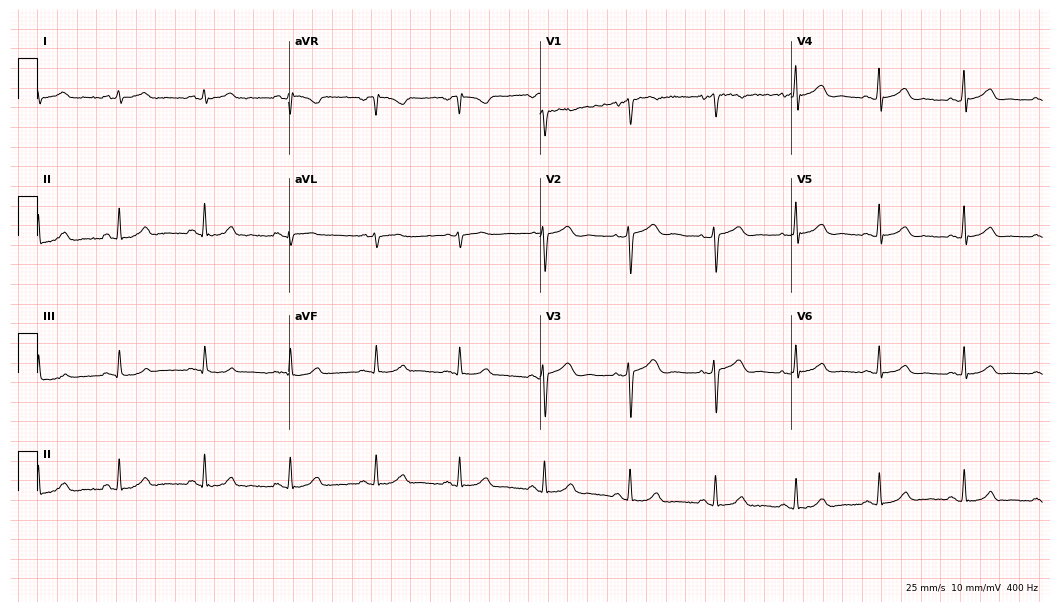
Electrocardiogram (10.2-second recording at 400 Hz), a 36-year-old female. Of the six screened findings (first-degree AV block, right bundle branch block, left bundle branch block, sinus bradycardia, atrial fibrillation, sinus tachycardia), none is recorded. Other findings, if any, are not listed.